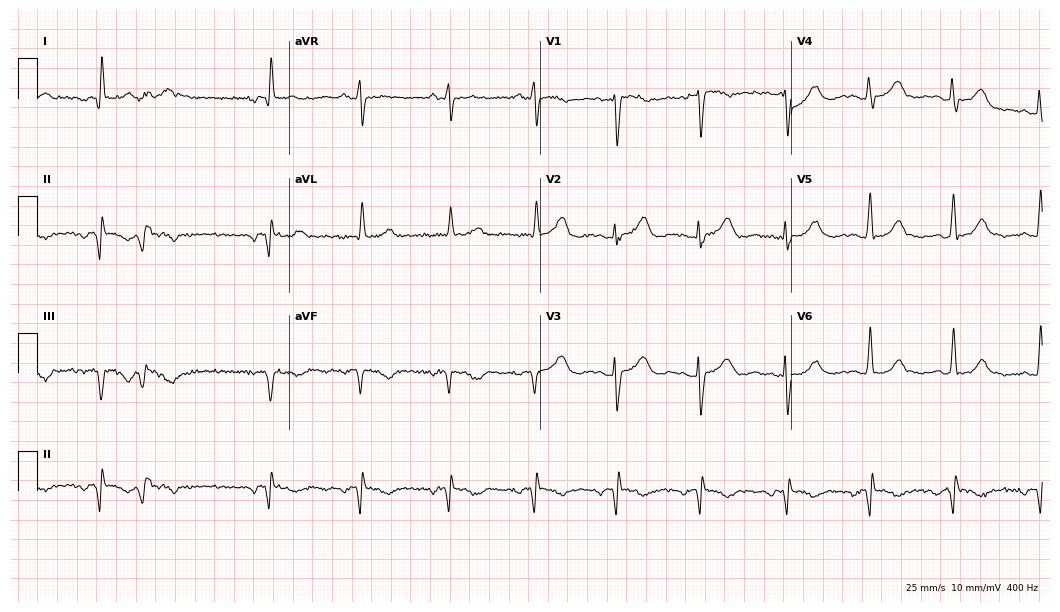
12-lead ECG from a woman, 80 years old. Screened for six findings — first-degree AV block, right bundle branch block, left bundle branch block, sinus bradycardia, atrial fibrillation, sinus tachycardia — none is recorded. Other findings, if any, are not listed.